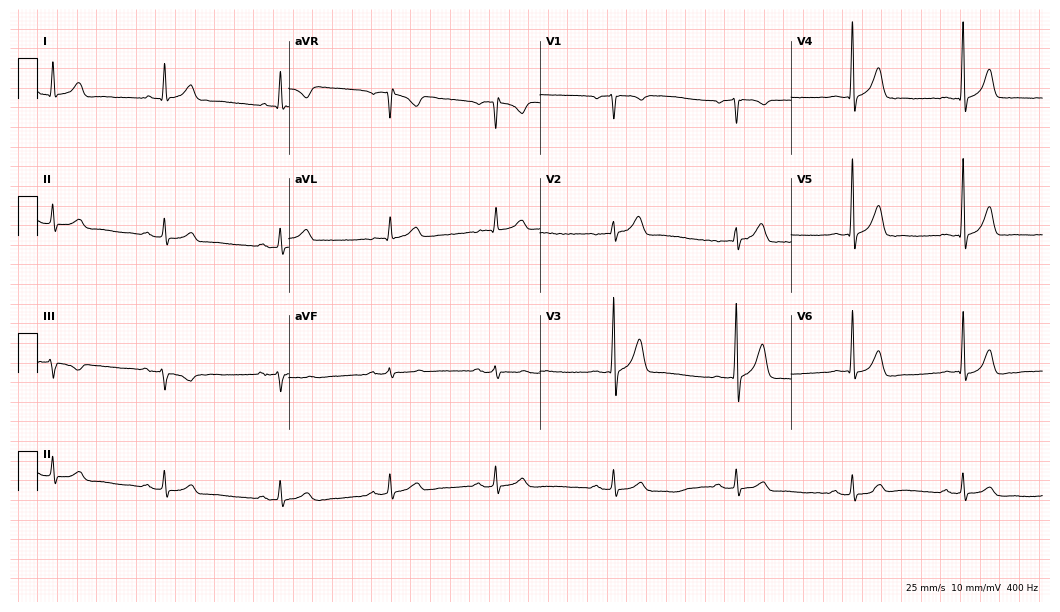
Resting 12-lead electrocardiogram (10.2-second recording at 400 Hz). Patient: a man, 53 years old. Read as a normal ECG.